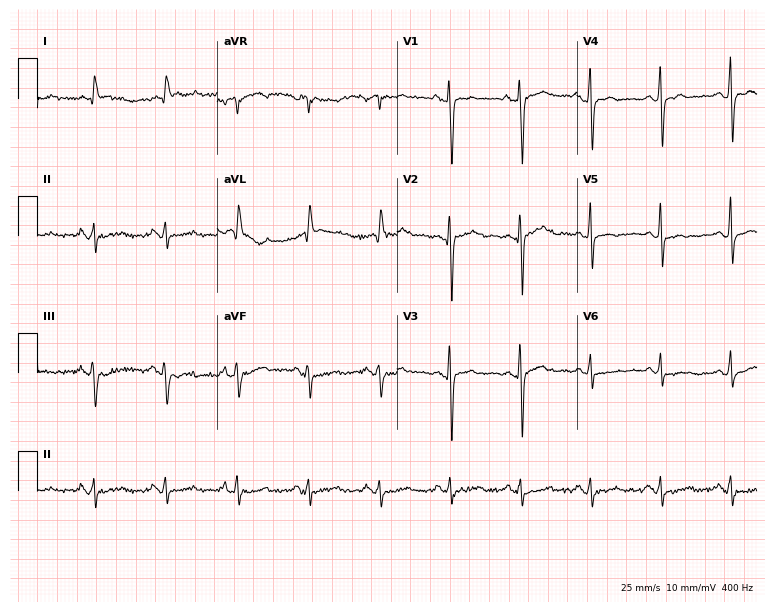
ECG — a 76-year-old woman. Screened for six findings — first-degree AV block, right bundle branch block, left bundle branch block, sinus bradycardia, atrial fibrillation, sinus tachycardia — none is recorded. Only these six findings were labelled.